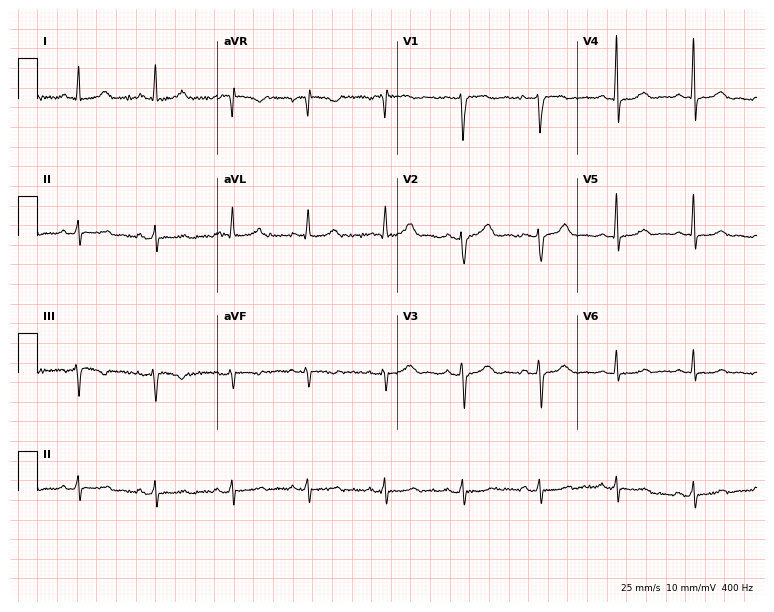
12-lead ECG from a woman, 55 years old. No first-degree AV block, right bundle branch block, left bundle branch block, sinus bradycardia, atrial fibrillation or sinus tachycardia recorded for this tracing.